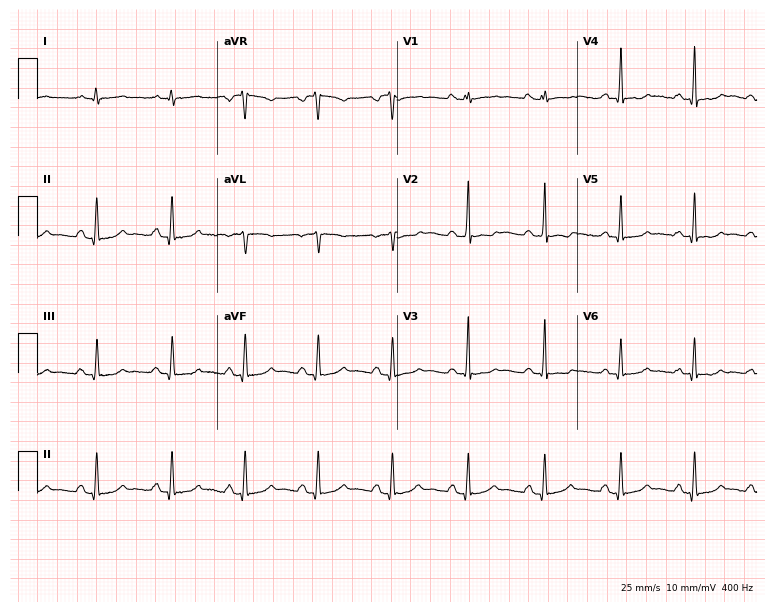
Standard 12-lead ECG recorded from a 43-year-old female patient (7.3-second recording at 400 Hz). None of these six findings is recorded: first-degree AV block, right bundle branch block, left bundle branch block, sinus bradycardia, atrial fibrillation, sinus tachycardia. Only these six findings were labelled.